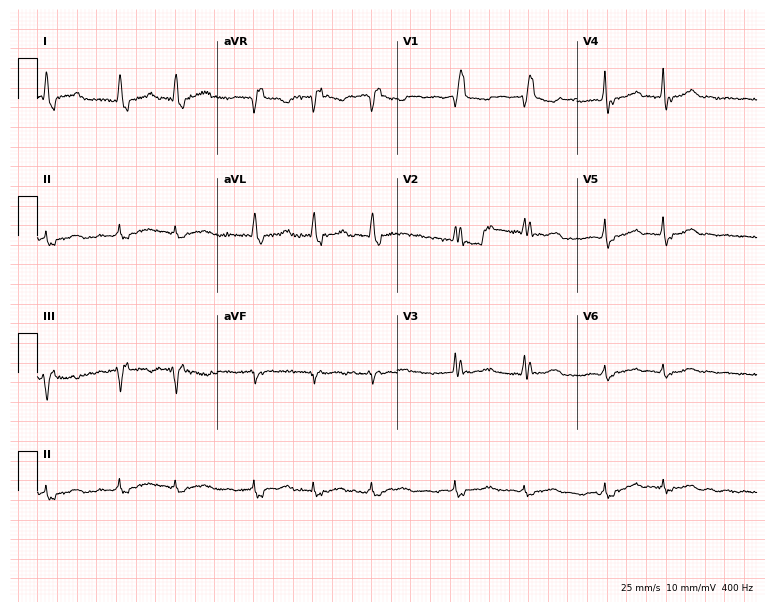
ECG (7.3-second recording at 400 Hz) — a female patient, 73 years old. Findings include right bundle branch block, atrial fibrillation.